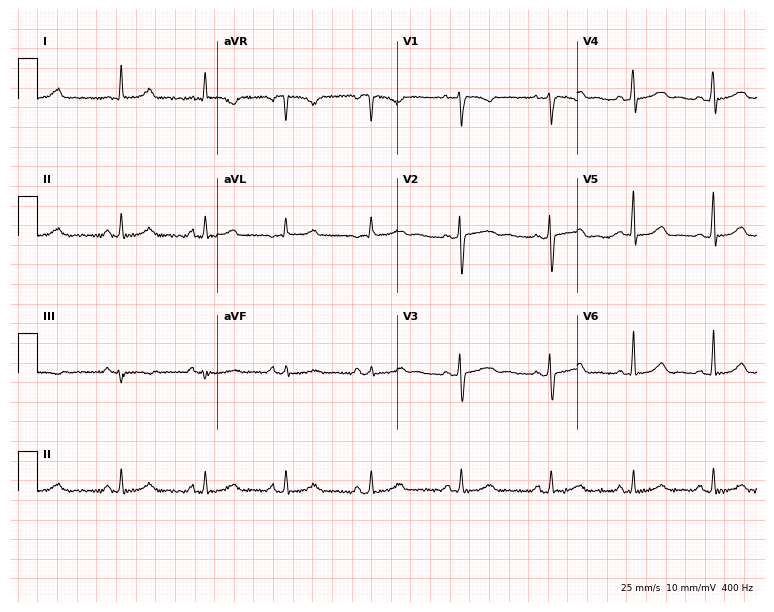
ECG — a woman, 35 years old. Labelled as a normal ECG.